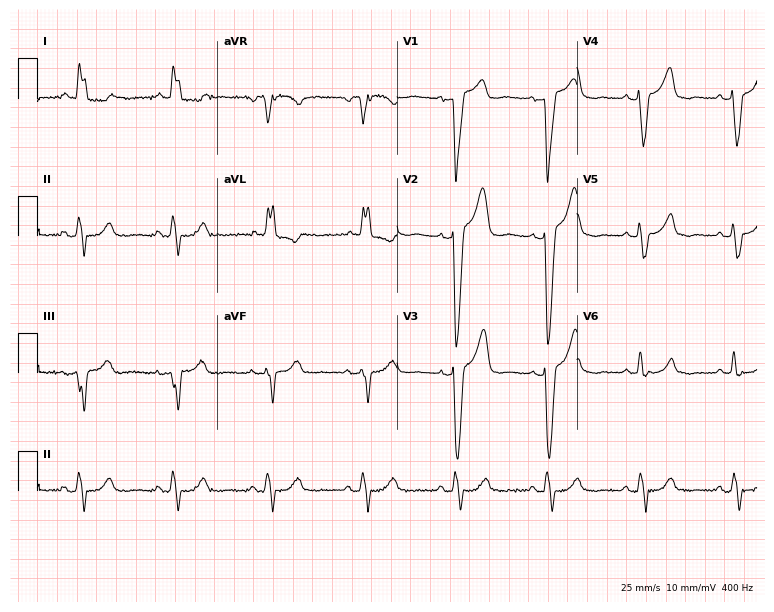
12-lead ECG from a female, 61 years old (7.3-second recording at 400 Hz). Shows left bundle branch block.